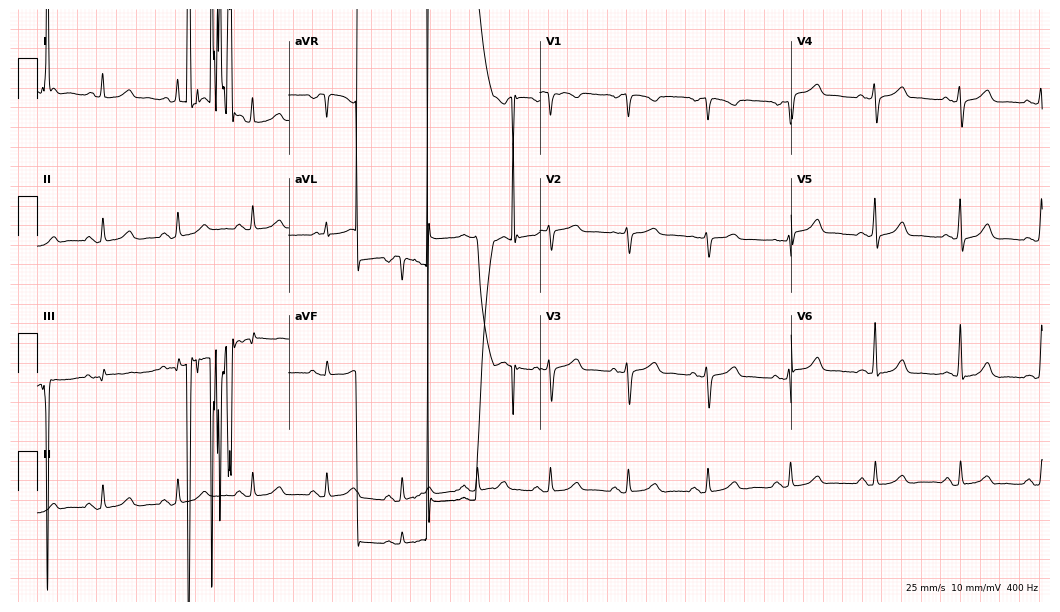
Standard 12-lead ECG recorded from a woman, 54 years old (10.2-second recording at 400 Hz). None of these six findings is recorded: first-degree AV block, right bundle branch block, left bundle branch block, sinus bradycardia, atrial fibrillation, sinus tachycardia. Only these six findings were labelled.